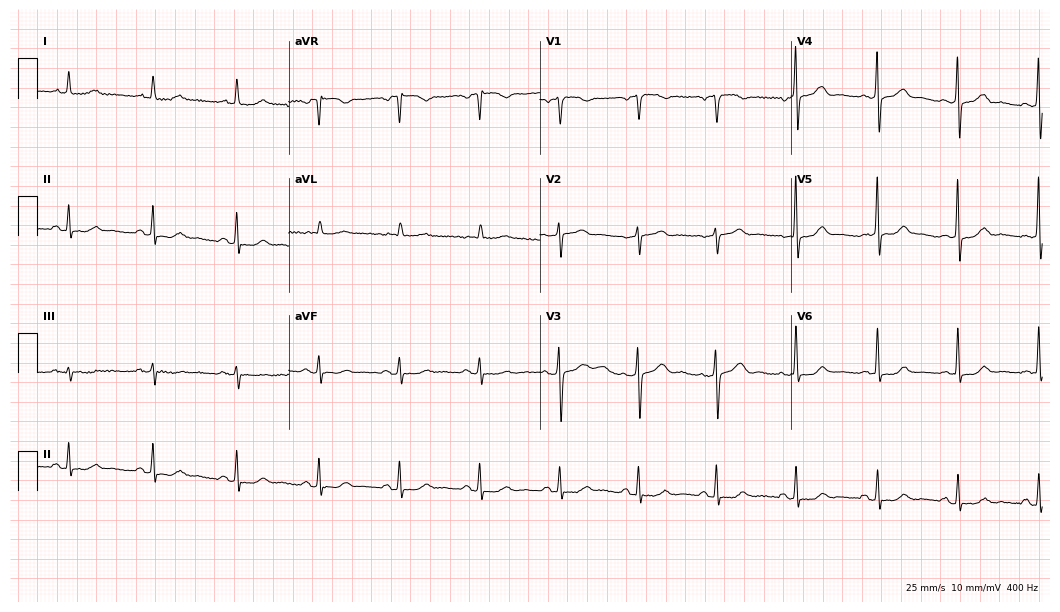
12-lead ECG from an 85-year-old woman. No first-degree AV block, right bundle branch block (RBBB), left bundle branch block (LBBB), sinus bradycardia, atrial fibrillation (AF) or sinus tachycardia recorded for this tracing. Findings outside these six are not listed.